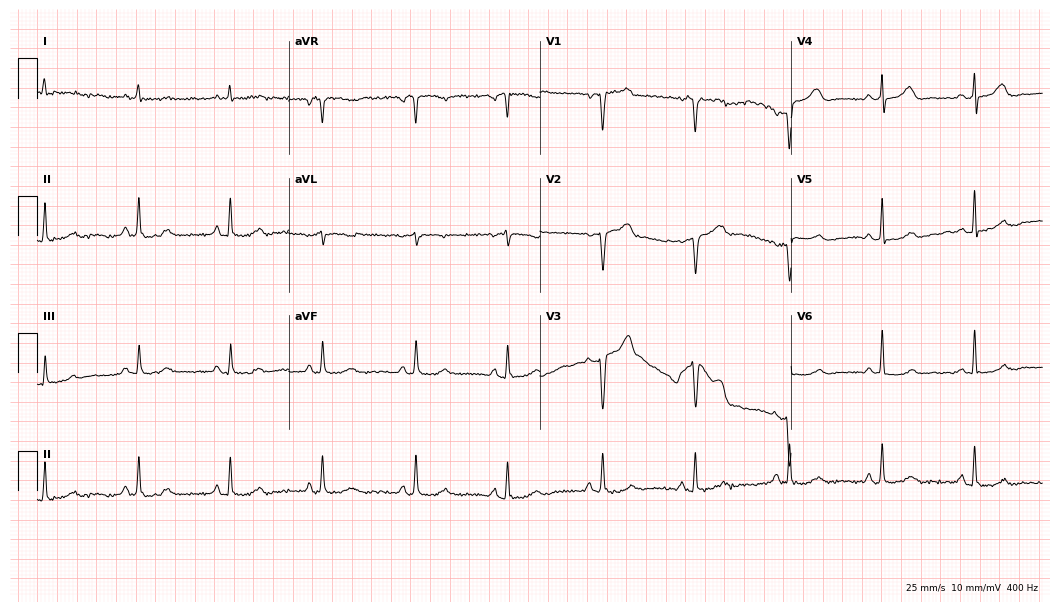
Resting 12-lead electrocardiogram. Patient: a woman, 57 years old. None of these six findings is recorded: first-degree AV block, right bundle branch block, left bundle branch block, sinus bradycardia, atrial fibrillation, sinus tachycardia.